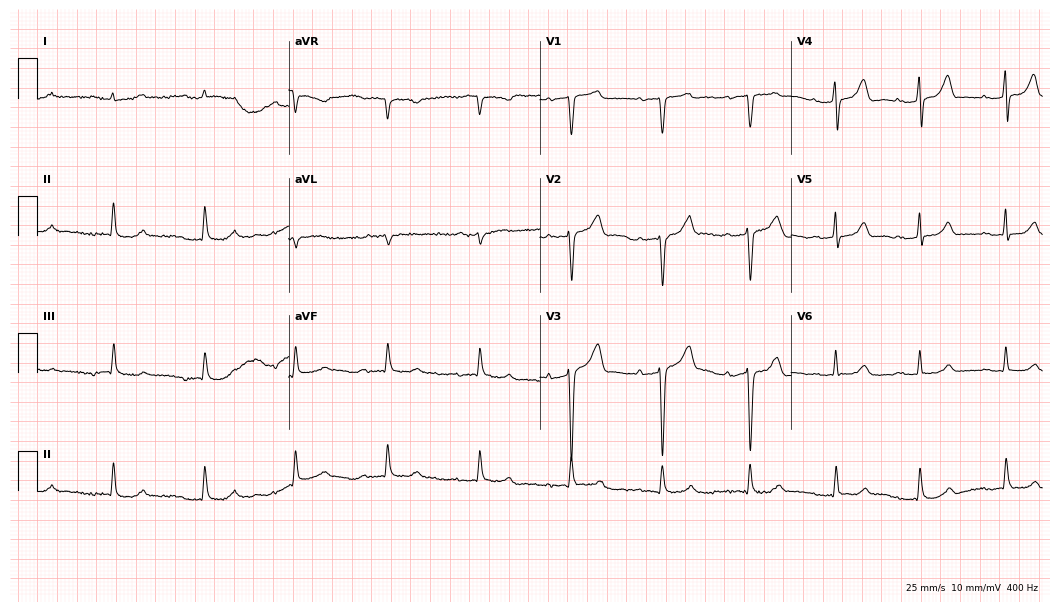
12-lead ECG from a 75-year-old male. Shows first-degree AV block.